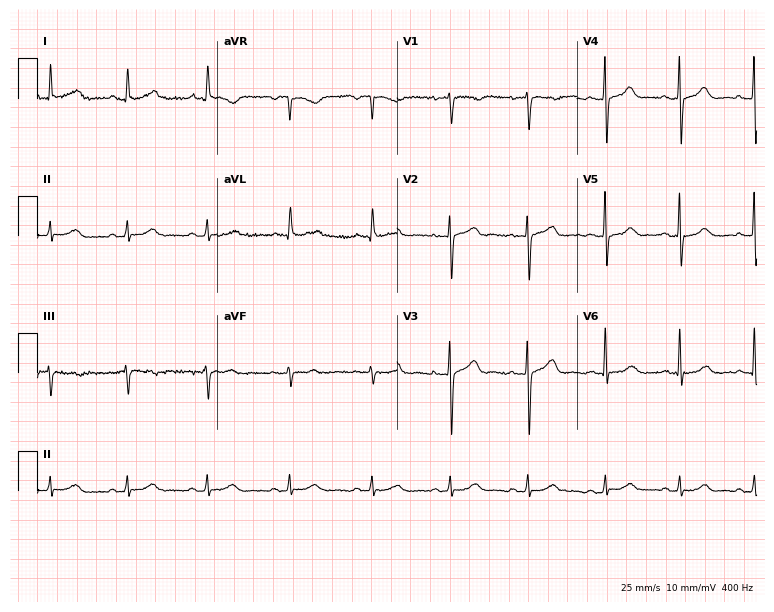
12-lead ECG (7.3-second recording at 400 Hz) from a woman, 51 years old. Screened for six findings — first-degree AV block, right bundle branch block, left bundle branch block, sinus bradycardia, atrial fibrillation, sinus tachycardia — none is recorded. Other findings, if any, are not listed.